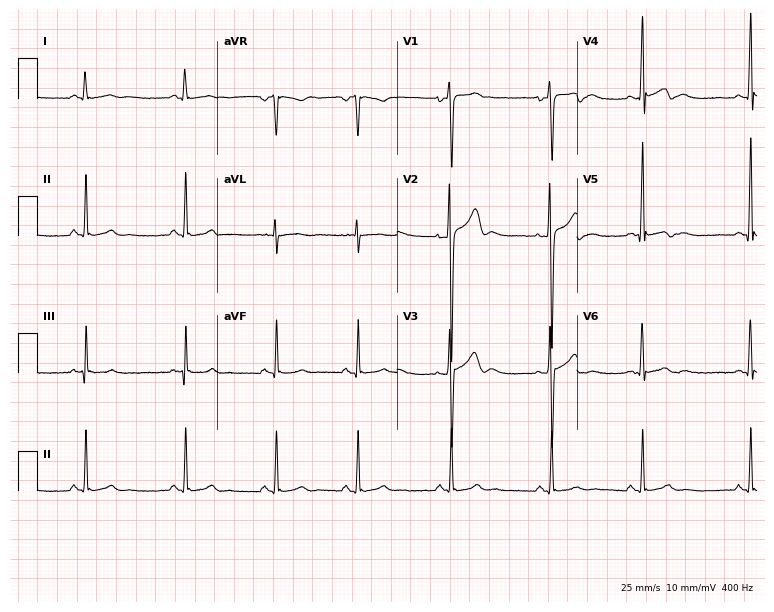
12-lead ECG (7.3-second recording at 400 Hz) from a male patient, 18 years old. Screened for six findings — first-degree AV block, right bundle branch block, left bundle branch block, sinus bradycardia, atrial fibrillation, sinus tachycardia — none is recorded. Other findings, if any, are not listed.